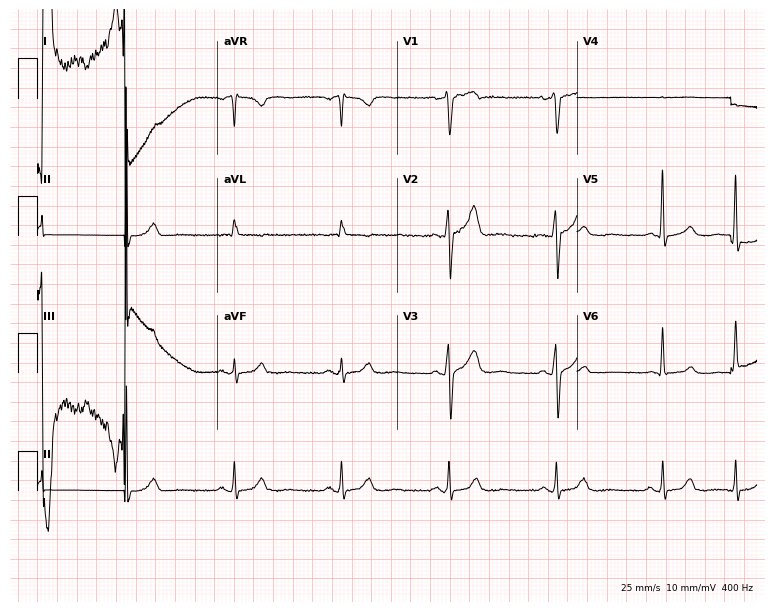
Resting 12-lead electrocardiogram. Patient: a 65-year-old man. None of these six findings is recorded: first-degree AV block, right bundle branch block (RBBB), left bundle branch block (LBBB), sinus bradycardia, atrial fibrillation (AF), sinus tachycardia.